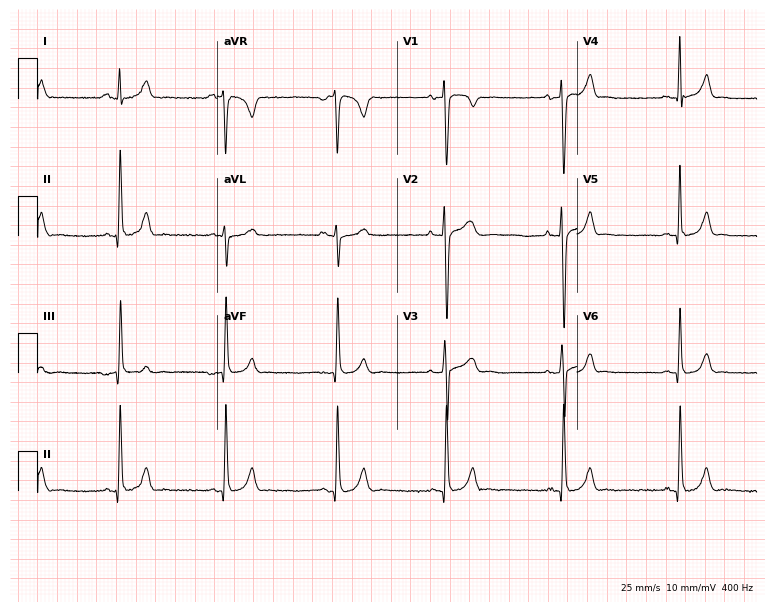
Electrocardiogram, a 17-year-old man. Overall reading on record: normal ECG.